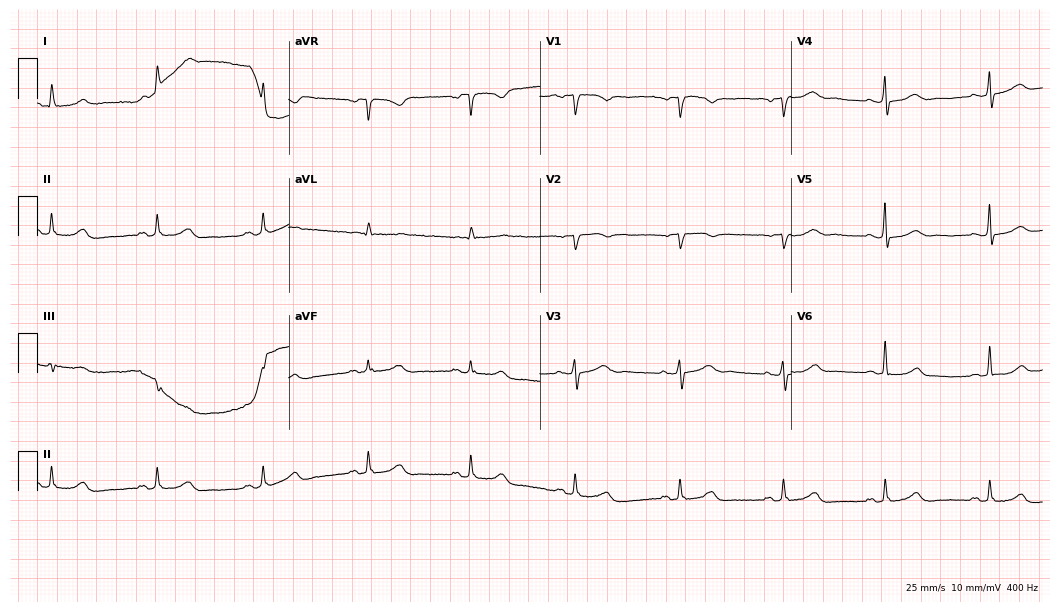
ECG — a woman, 75 years old. Screened for six findings — first-degree AV block, right bundle branch block, left bundle branch block, sinus bradycardia, atrial fibrillation, sinus tachycardia — none is recorded.